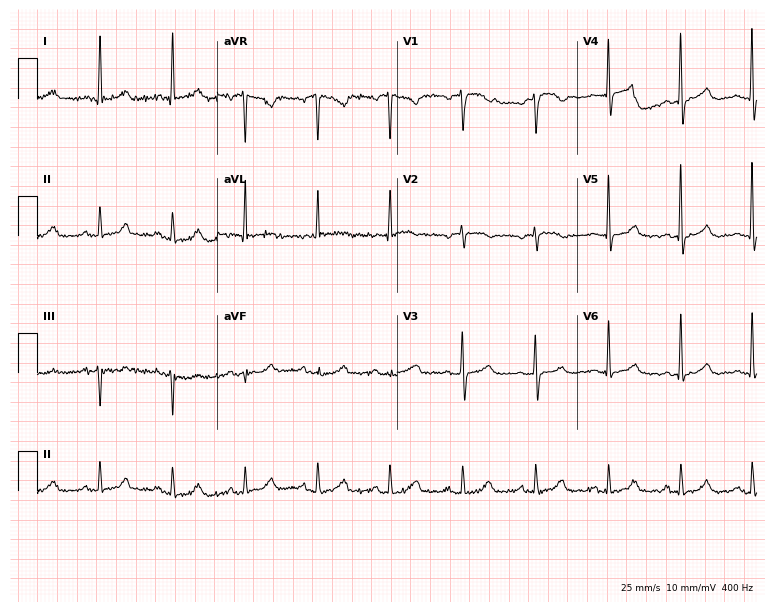
12-lead ECG from a 54-year-old female patient. Recorded interpretation: within normal limits.